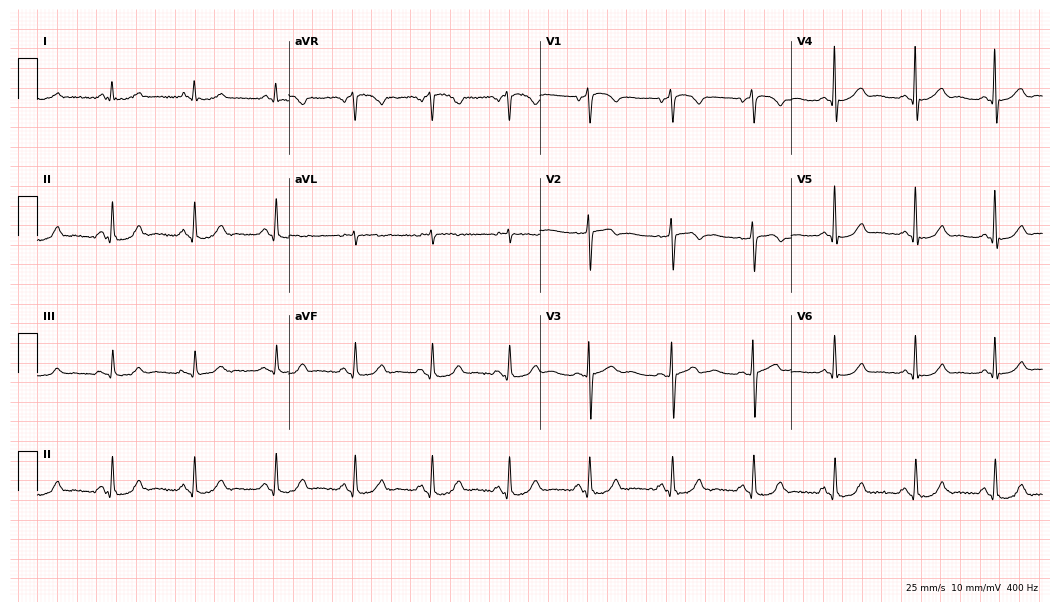
Standard 12-lead ECG recorded from a man, 61 years old (10.2-second recording at 400 Hz). None of these six findings is recorded: first-degree AV block, right bundle branch block, left bundle branch block, sinus bradycardia, atrial fibrillation, sinus tachycardia.